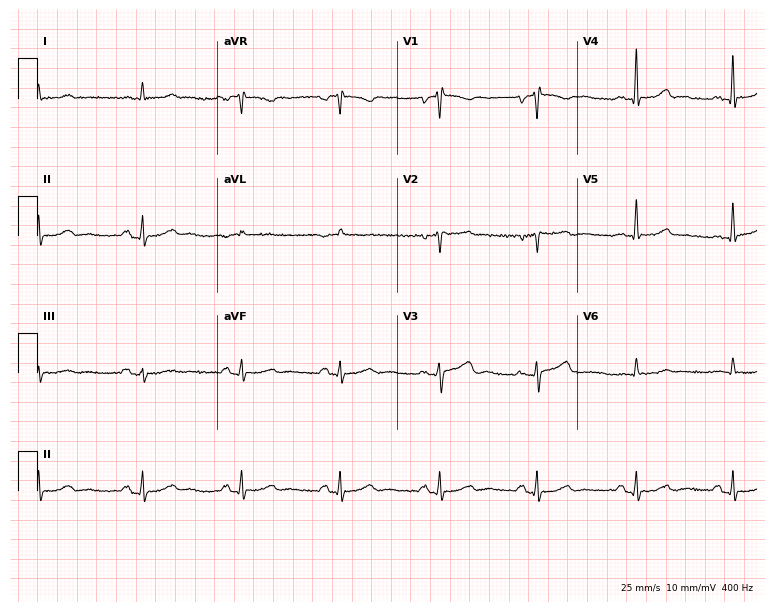
12-lead ECG from a female patient, 62 years old. Screened for six findings — first-degree AV block, right bundle branch block (RBBB), left bundle branch block (LBBB), sinus bradycardia, atrial fibrillation (AF), sinus tachycardia — none is recorded. Only these six findings were labelled.